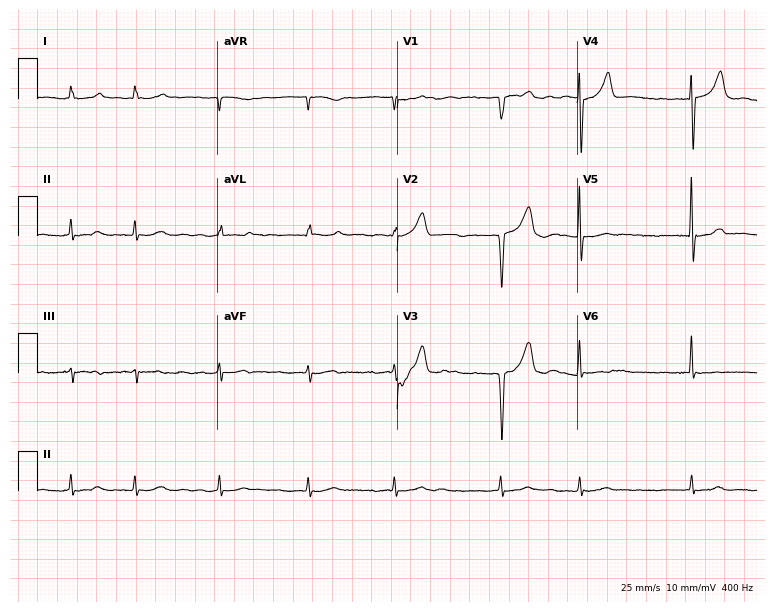
Resting 12-lead electrocardiogram (7.3-second recording at 400 Hz). Patient: a woman, 72 years old. The tracing shows atrial fibrillation (AF).